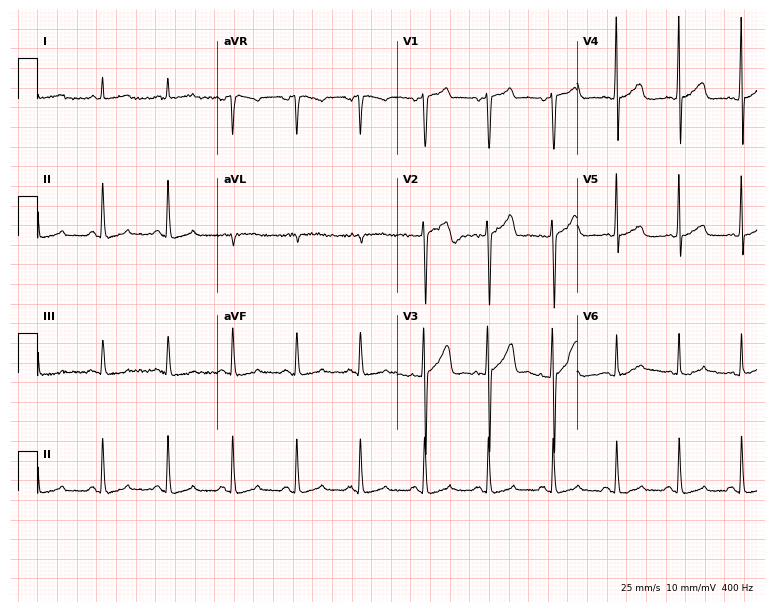
Standard 12-lead ECG recorded from a male patient, 43 years old (7.3-second recording at 400 Hz). None of these six findings is recorded: first-degree AV block, right bundle branch block, left bundle branch block, sinus bradycardia, atrial fibrillation, sinus tachycardia. Only these six findings were labelled.